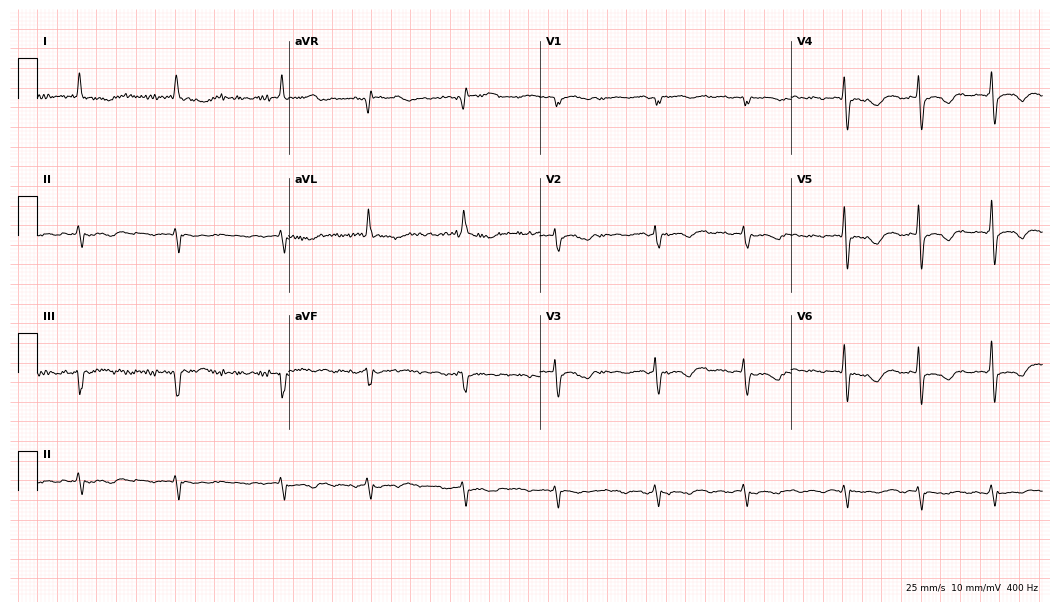
12-lead ECG from an 83-year-old woman. Labelled as a normal ECG.